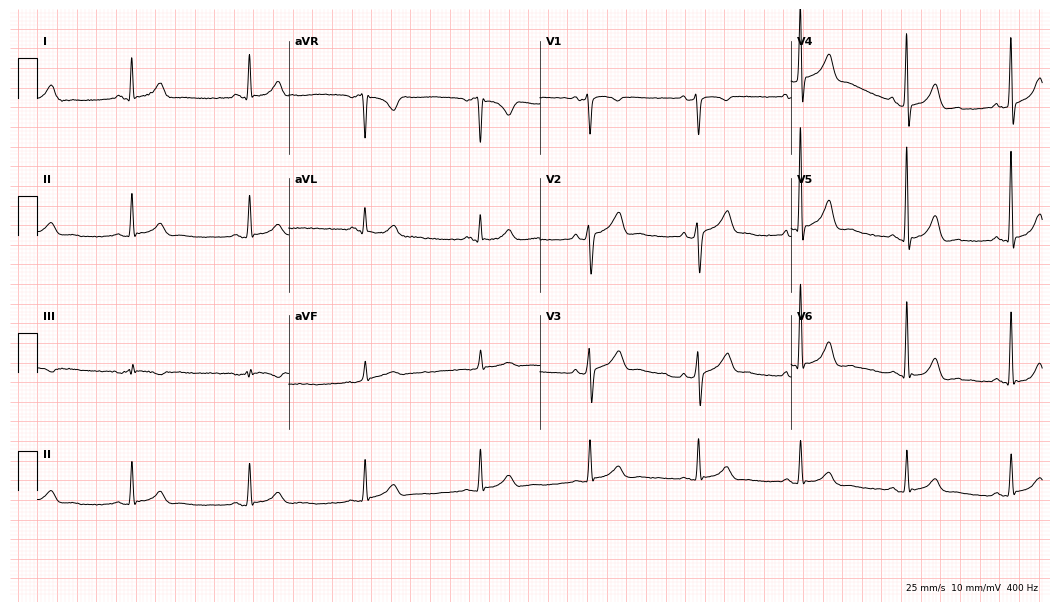
Resting 12-lead electrocardiogram. Patient: a 67-year-old male. Read as a normal ECG.